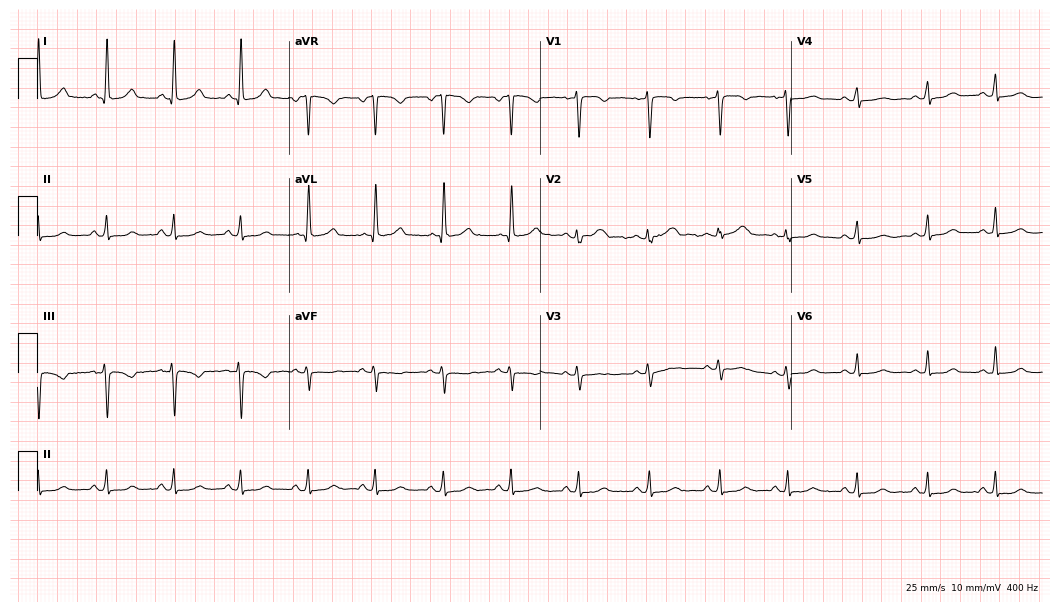
Electrocardiogram, a 42-year-old female patient. Of the six screened findings (first-degree AV block, right bundle branch block, left bundle branch block, sinus bradycardia, atrial fibrillation, sinus tachycardia), none is recorded. Findings outside these six are not listed.